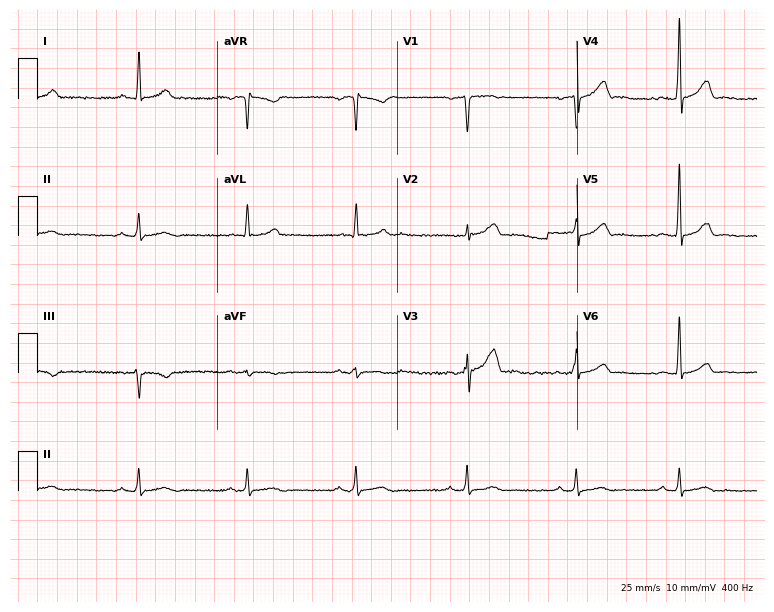
Resting 12-lead electrocardiogram. Patient: a 42-year-old male. Read as a normal ECG.